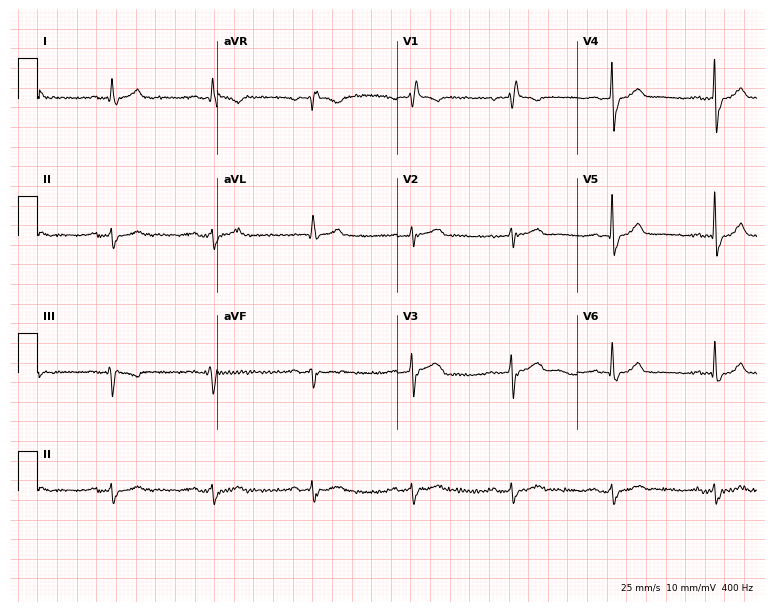
12-lead ECG from a 79-year-old male. Findings include right bundle branch block.